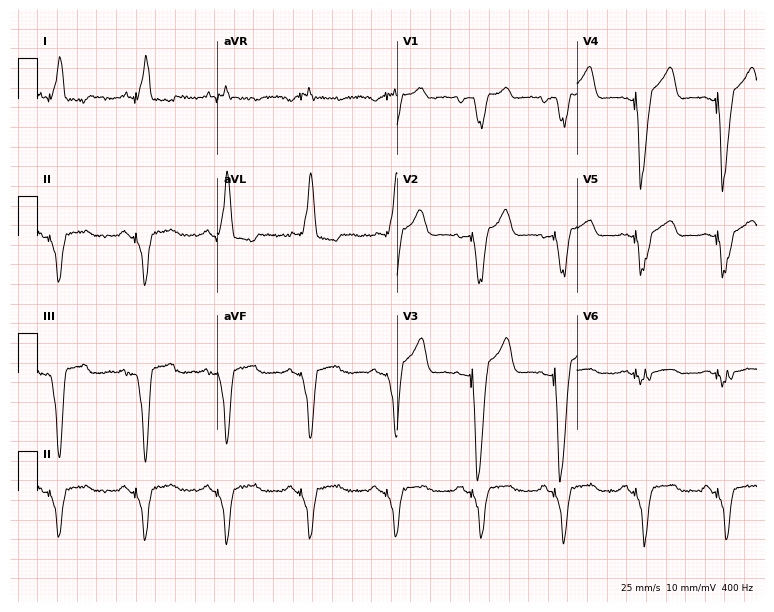
12-lead ECG from a 59-year-old woman. Screened for six findings — first-degree AV block, right bundle branch block (RBBB), left bundle branch block (LBBB), sinus bradycardia, atrial fibrillation (AF), sinus tachycardia — none is recorded.